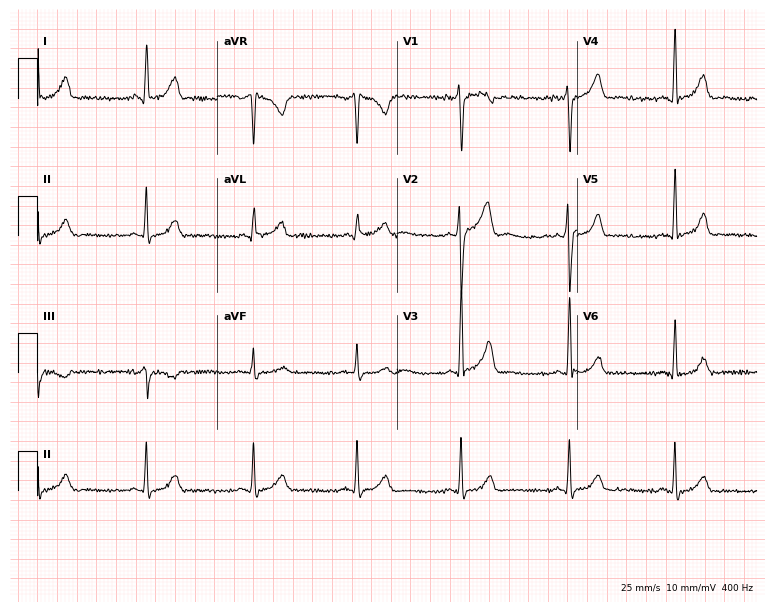
12-lead ECG (7.3-second recording at 400 Hz) from a male patient, 46 years old. Labelled as a normal ECG.